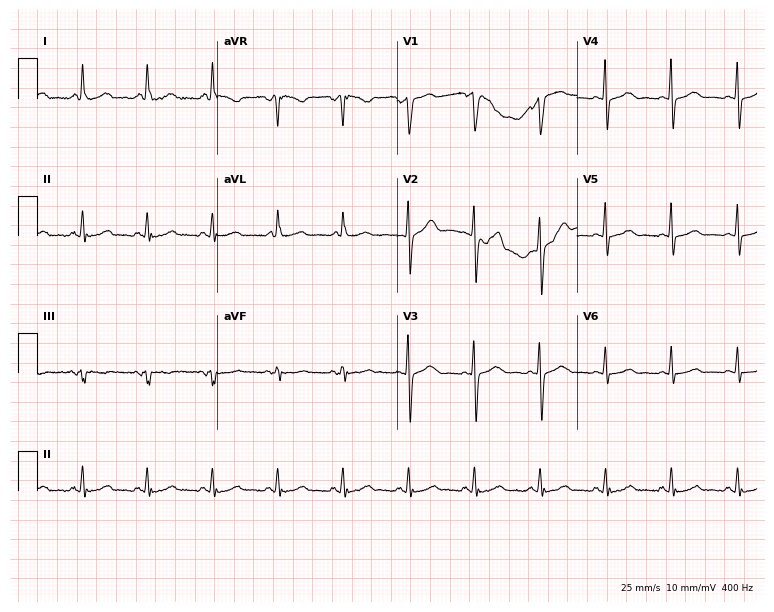
Standard 12-lead ECG recorded from a 42-year-old female patient. None of these six findings is recorded: first-degree AV block, right bundle branch block, left bundle branch block, sinus bradycardia, atrial fibrillation, sinus tachycardia.